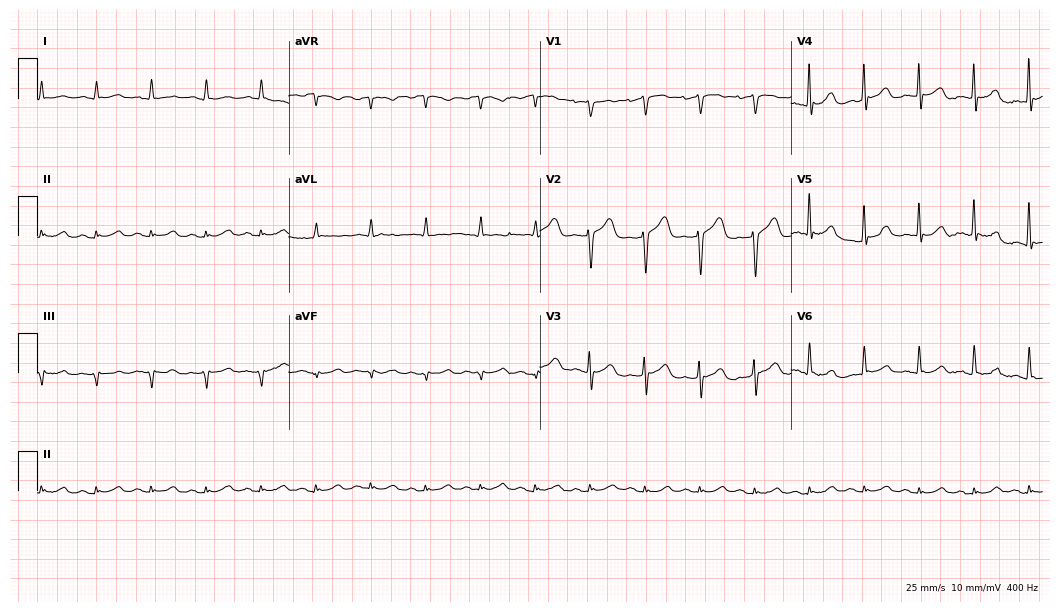
12-lead ECG from a man, 79 years old (10.2-second recording at 400 Hz). Shows sinus tachycardia (a sinus rate of 100 beats per minute or more).